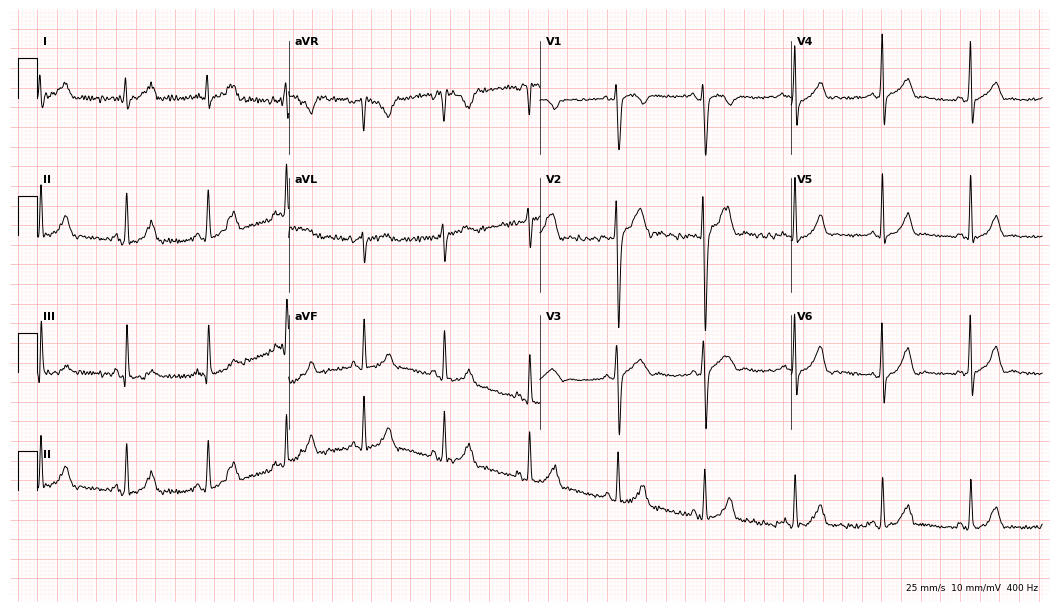
Resting 12-lead electrocardiogram. Patient: a man, 24 years old. None of these six findings is recorded: first-degree AV block, right bundle branch block, left bundle branch block, sinus bradycardia, atrial fibrillation, sinus tachycardia. Other findings, if any, are not listed.